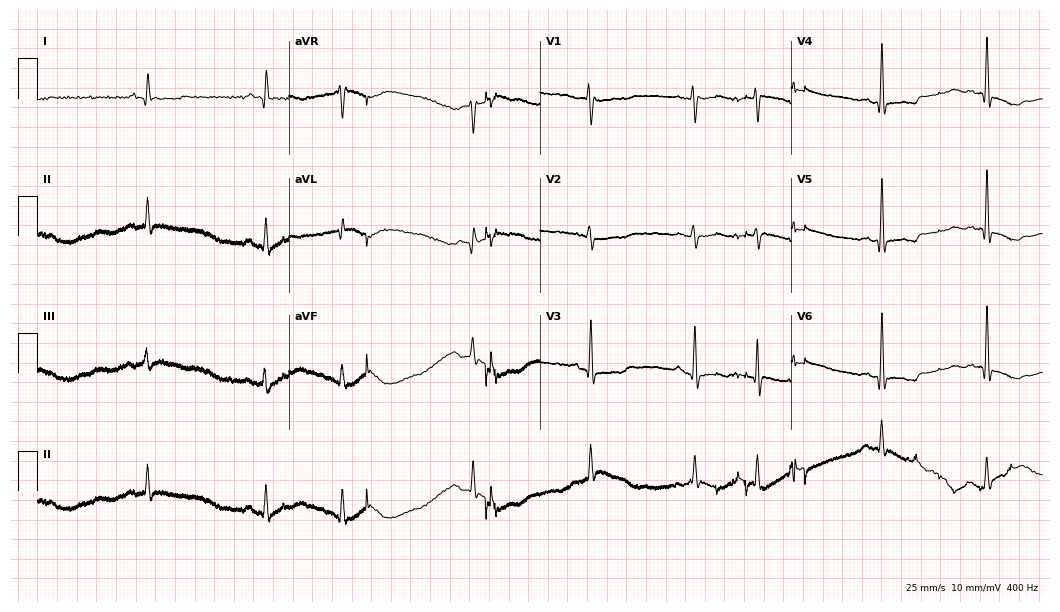
Standard 12-lead ECG recorded from an 82-year-old male (10.2-second recording at 400 Hz). None of these six findings is recorded: first-degree AV block, right bundle branch block, left bundle branch block, sinus bradycardia, atrial fibrillation, sinus tachycardia. Only these six findings were labelled.